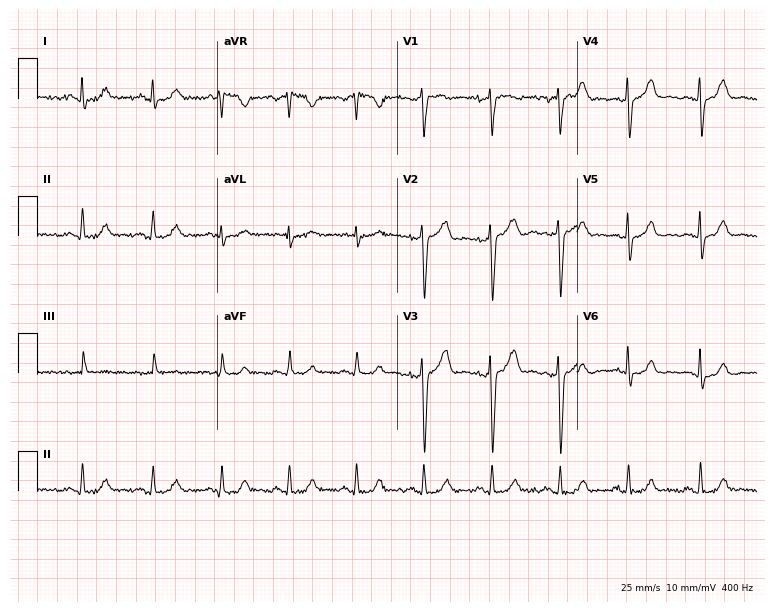
12-lead ECG from a 52-year-old man. Screened for six findings — first-degree AV block, right bundle branch block (RBBB), left bundle branch block (LBBB), sinus bradycardia, atrial fibrillation (AF), sinus tachycardia — none is recorded. Other findings, if any, are not listed.